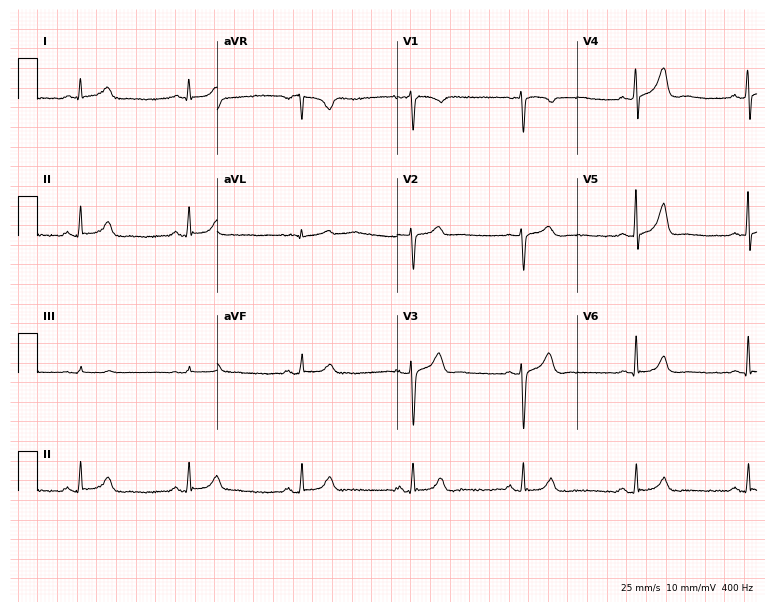
Resting 12-lead electrocardiogram. Patient: a male, 43 years old. Read as a normal ECG.